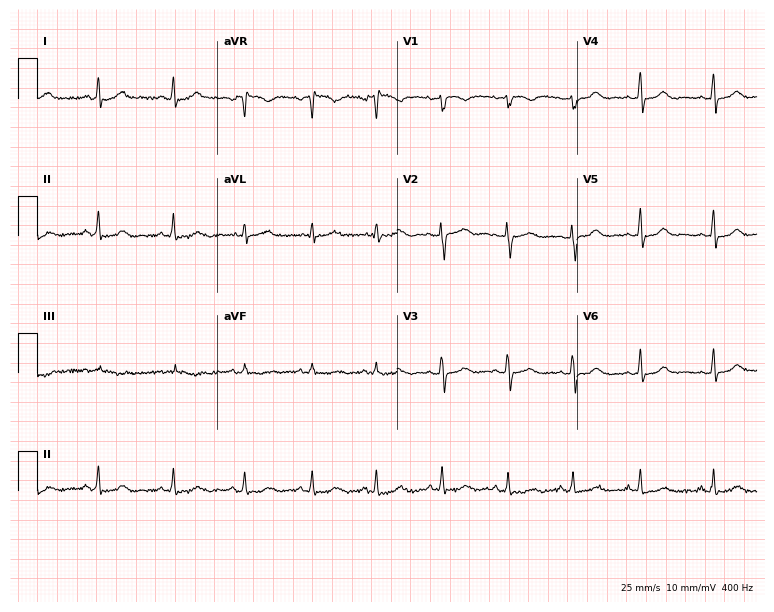
ECG — a 27-year-old woman. Screened for six findings — first-degree AV block, right bundle branch block, left bundle branch block, sinus bradycardia, atrial fibrillation, sinus tachycardia — none is recorded. Only these six findings were labelled.